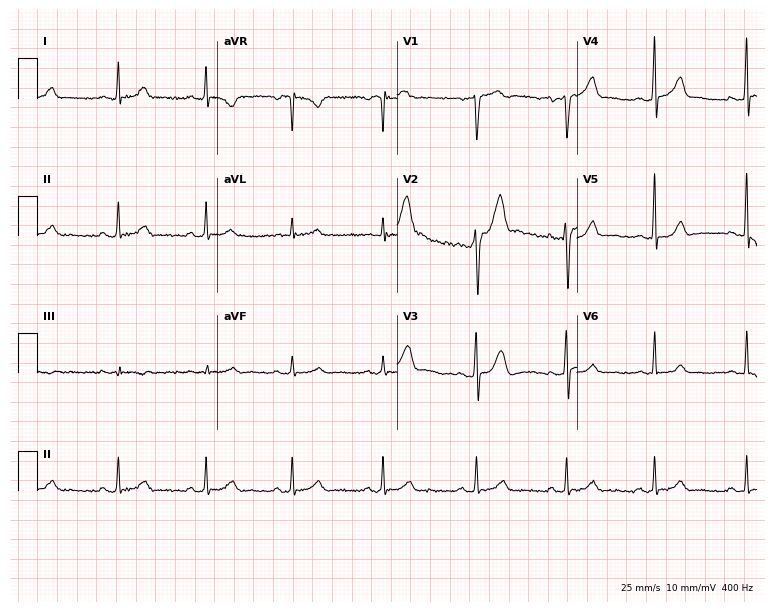
12-lead ECG from a 46-year-old male patient (7.3-second recording at 400 Hz). No first-degree AV block, right bundle branch block, left bundle branch block, sinus bradycardia, atrial fibrillation or sinus tachycardia recorded for this tracing.